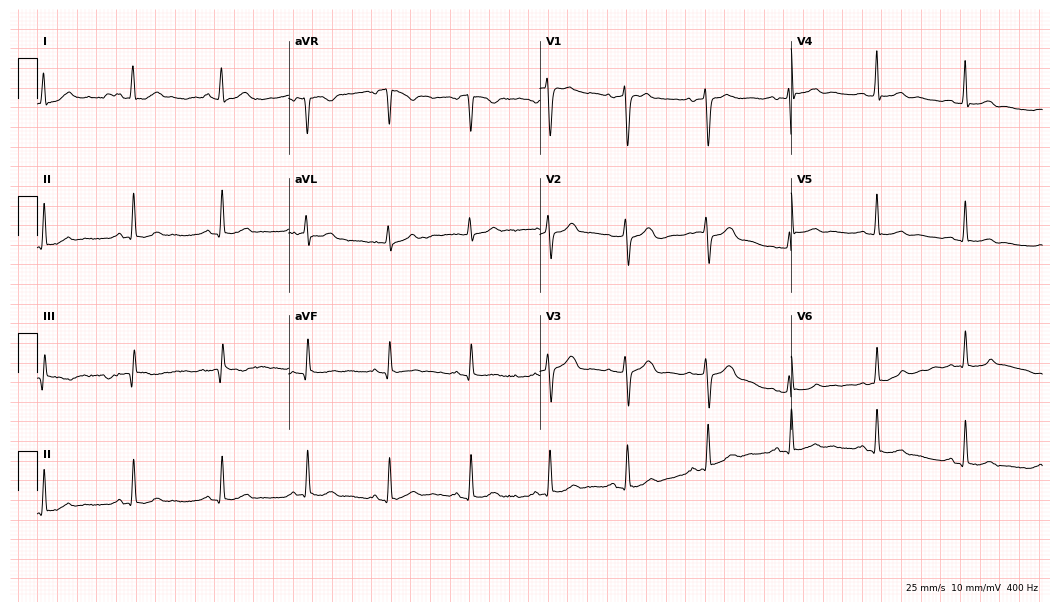
Resting 12-lead electrocardiogram (10.2-second recording at 400 Hz). Patient: a female, 35 years old. None of these six findings is recorded: first-degree AV block, right bundle branch block, left bundle branch block, sinus bradycardia, atrial fibrillation, sinus tachycardia.